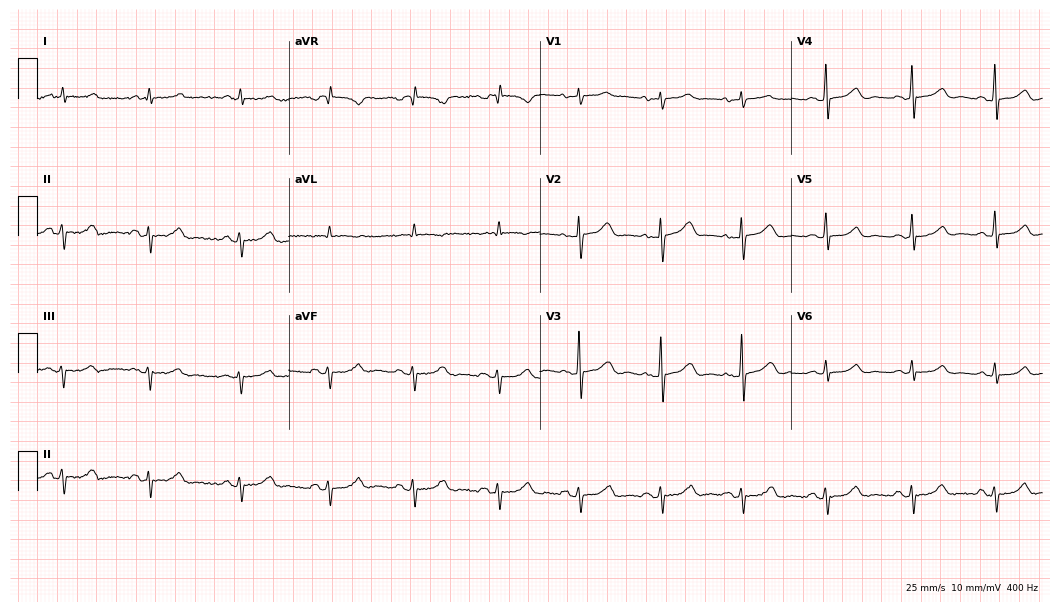
12-lead ECG from a woman, 63 years old. No first-degree AV block, right bundle branch block, left bundle branch block, sinus bradycardia, atrial fibrillation or sinus tachycardia recorded for this tracing. Only these six findings were labelled.